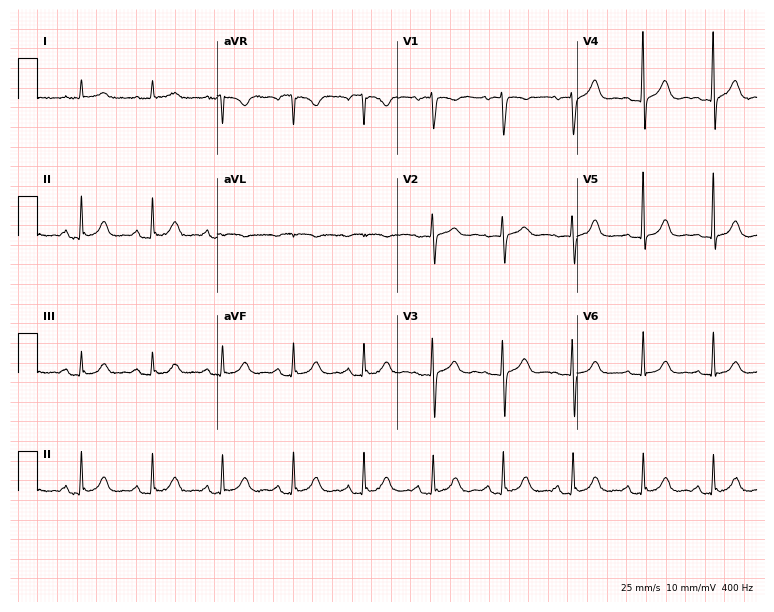
Resting 12-lead electrocardiogram. Patient: an 80-year-old female. Read as a normal ECG.